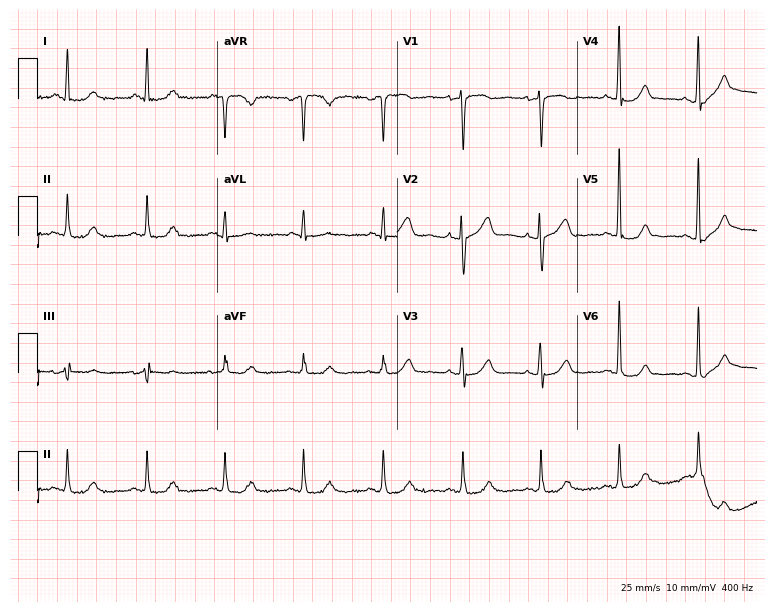
ECG (7.3-second recording at 400 Hz) — a 54-year-old woman. Screened for six findings — first-degree AV block, right bundle branch block (RBBB), left bundle branch block (LBBB), sinus bradycardia, atrial fibrillation (AF), sinus tachycardia — none is recorded.